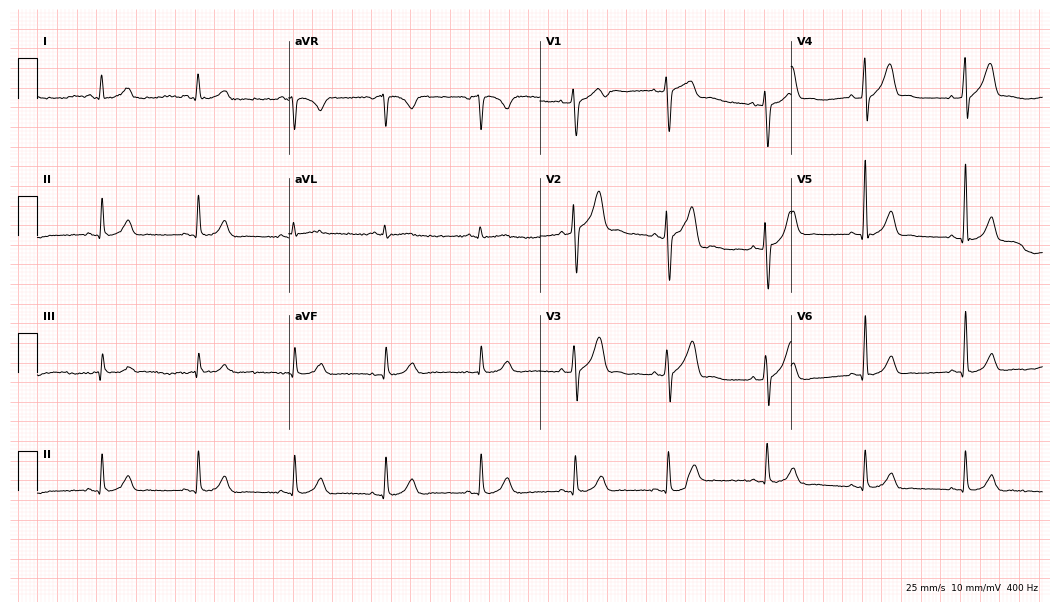
Resting 12-lead electrocardiogram. Patient: a male, 38 years old. Read as a normal ECG.